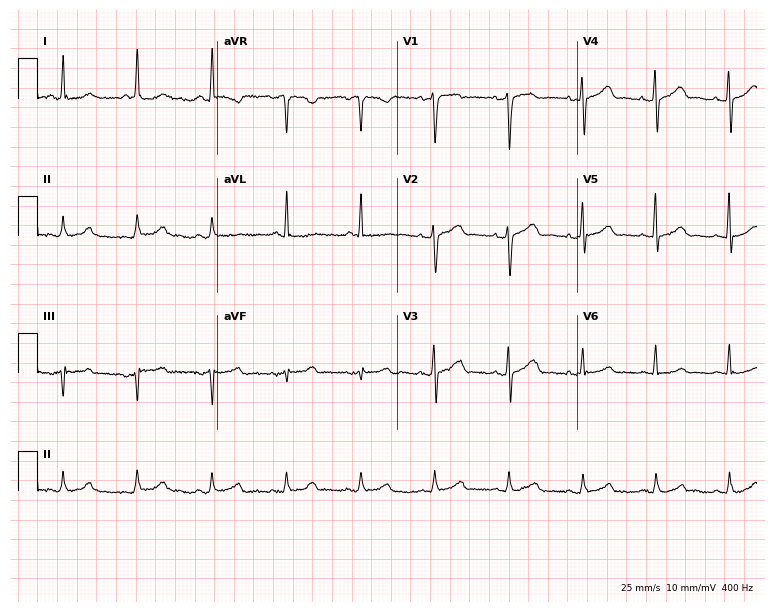
12-lead ECG from a 51-year-old female patient. Recorded interpretation: within normal limits.